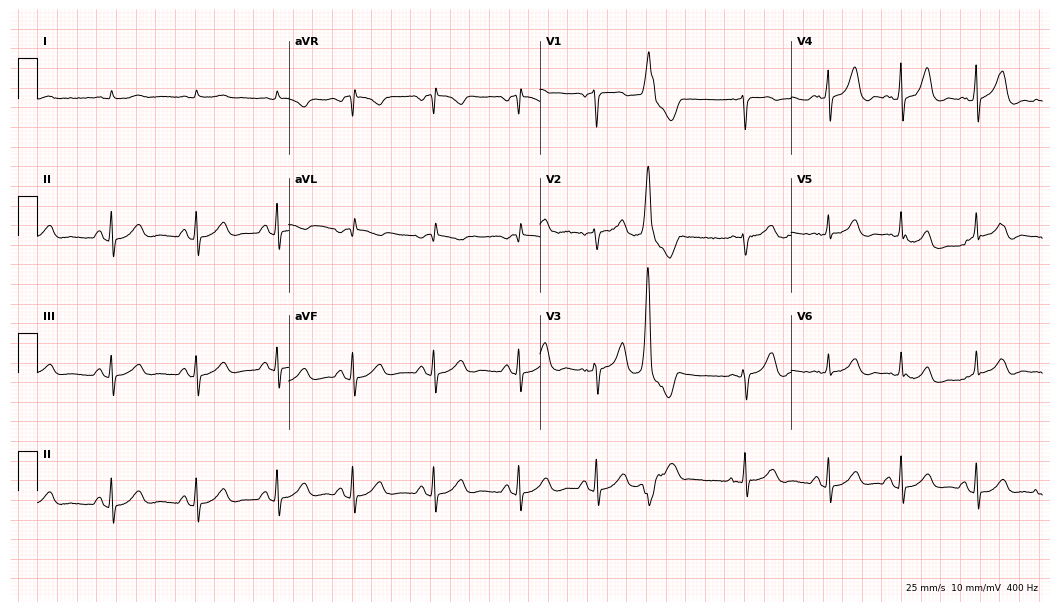
12-lead ECG (10.2-second recording at 400 Hz) from a male patient, 84 years old. Screened for six findings — first-degree AV block, right bundle branch block (RBBB), left bundle branch block (LBBB), sinus bradycardia, atrial fibrillation (AF), sinus tachycardia — none is recorded.